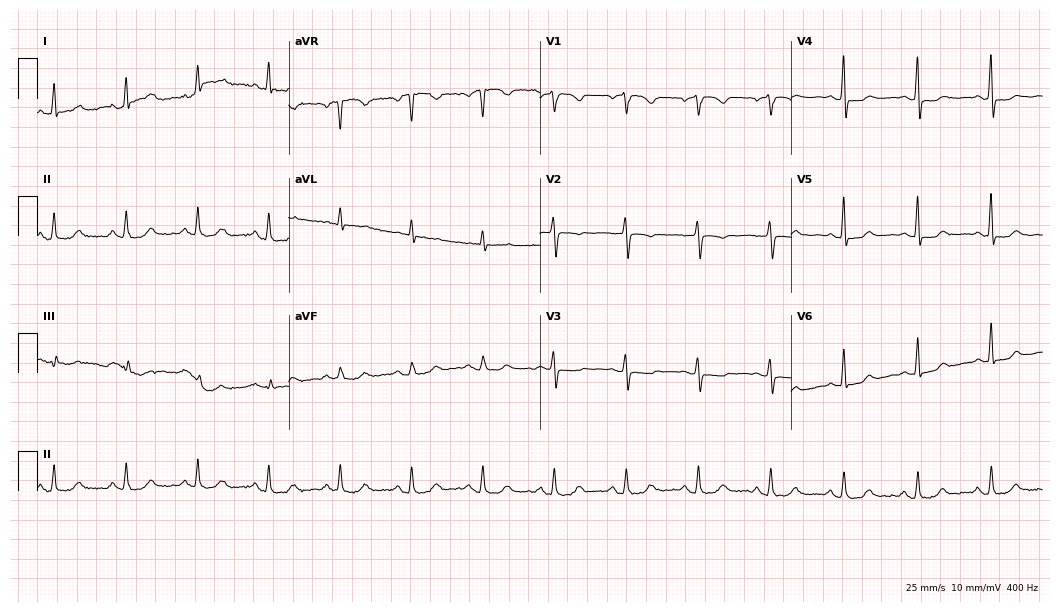
12-lead ECG from a 56-year-old female patient. Screened for six findings — first-degree AV block, right bundle branch block, left bundle branch block, sinus bradycardia, atrial fibrillation, sinus tachycardia — none is recorded. Findings outside these six are not listed.